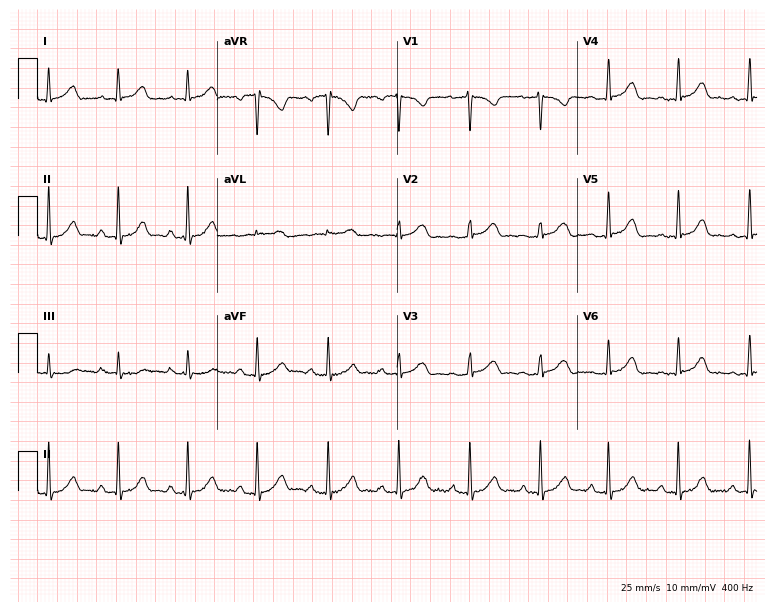
Electrocardiogram, a 32-year-old woman. Overall reading on record: normal ECG.